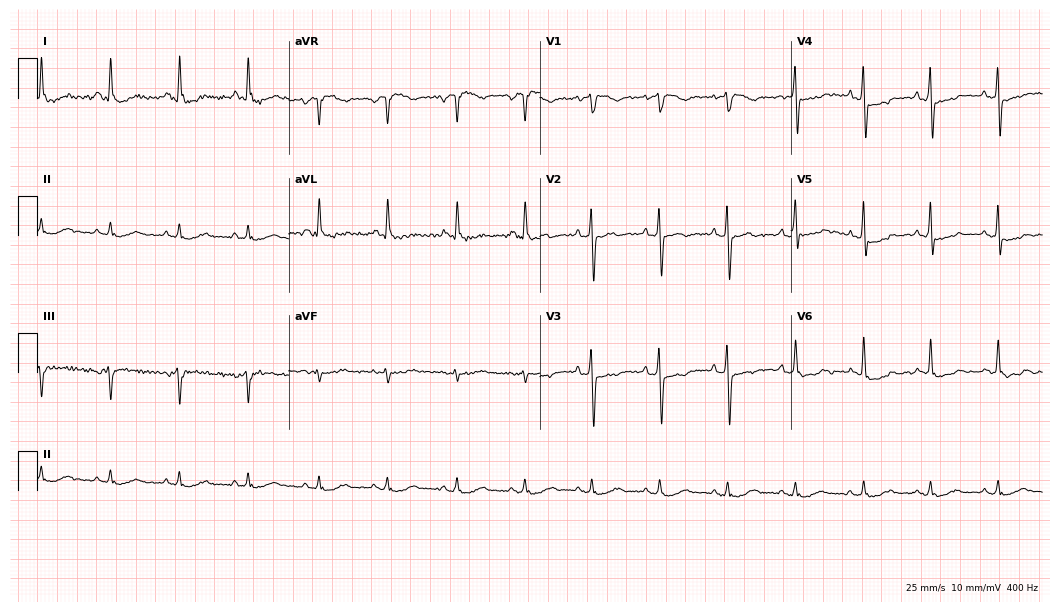
ECG (10.2-second recording at 400 Hz) — a male patient, 78 years old. Screened for six findings — first-degree AV block, right bundle branch block (RBBB), left bundle branch block (LBBB), sinus bradycardia, atrial fibrillation (AF), sinus tachycardia — none is recorded. Findings outside these six are not listed.